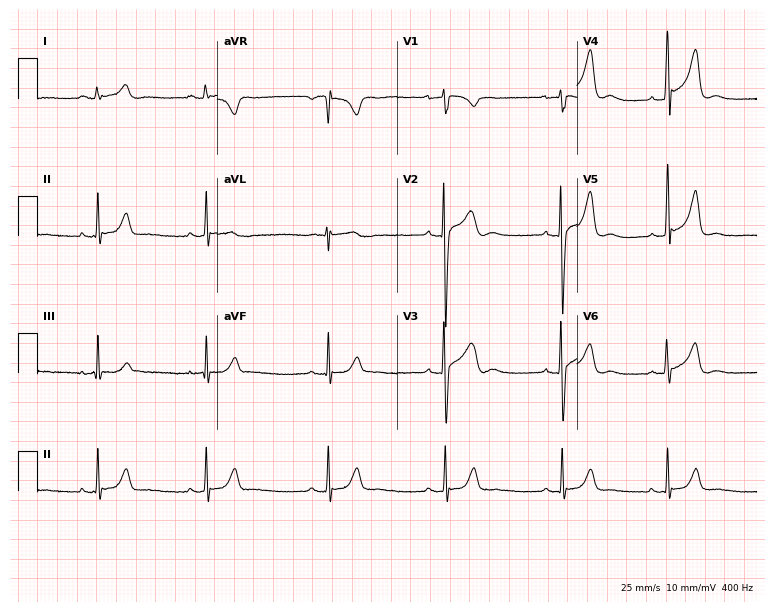
Standard 12-lead ECG recorded from a male, 26 years old (7.3-second recording at 400 Hz). Read as a normal ECG.